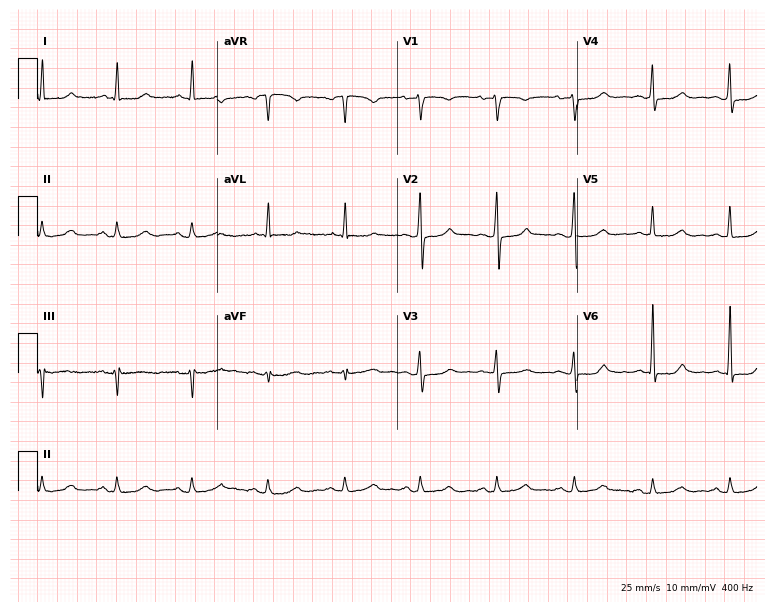
Standard 12-lead ECG recorded from a female patient, 64 years old (7.3-second recording at 400 Hz). None of these six findings is recorded: first-degree AV block, right bundle branch block (RBBB), left bundle branch block (LBBB), sinus bradycardia, atrial fibrillation (AF), sinus tachycardia. Only these six findings were labelled.